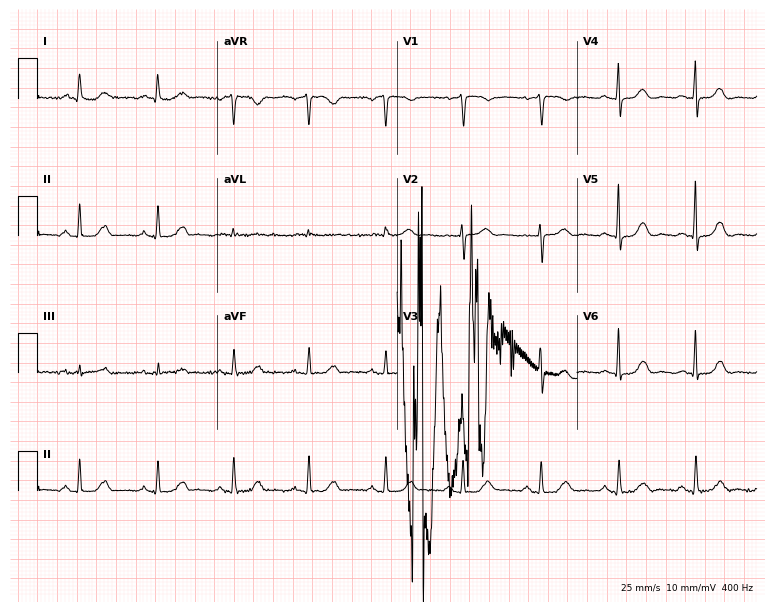
Resting 12-lead electrocardiogram (7.3-second recording at 400 Hz). Patient: a woman, 66 years old. None of these six findings is recorded: first-degree AV block, right bundle branch block (RBBB), left bundle branch block (LBBB), sinus bradycardia, atrial fibrillation (AF), sinus tachycardia. Only these six findings were labelled.